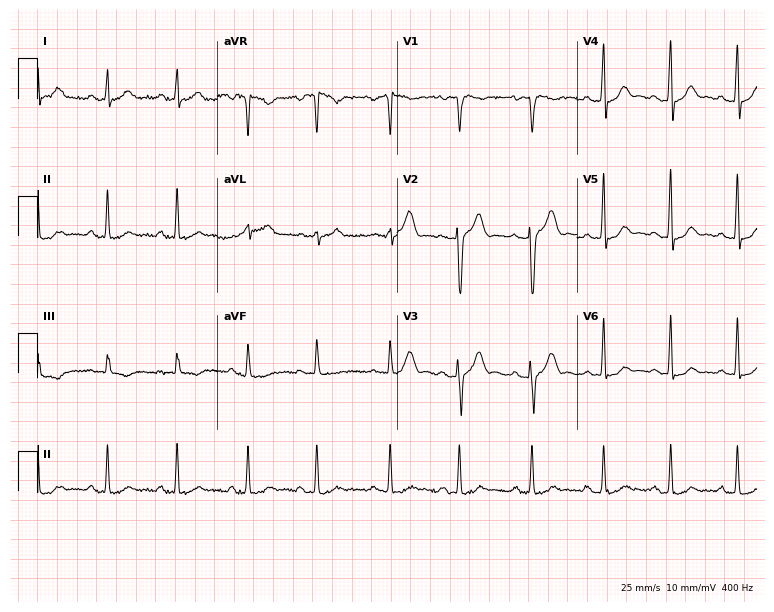
12-lead ECG from a male, 29 years old (7.3-second recording at 400 Hz). No first-degree AV block, right bundle branch block, left bundle branch block, sinus bradycardia, atrial fibrillation or sinus tachycardia recorded for this tracing.